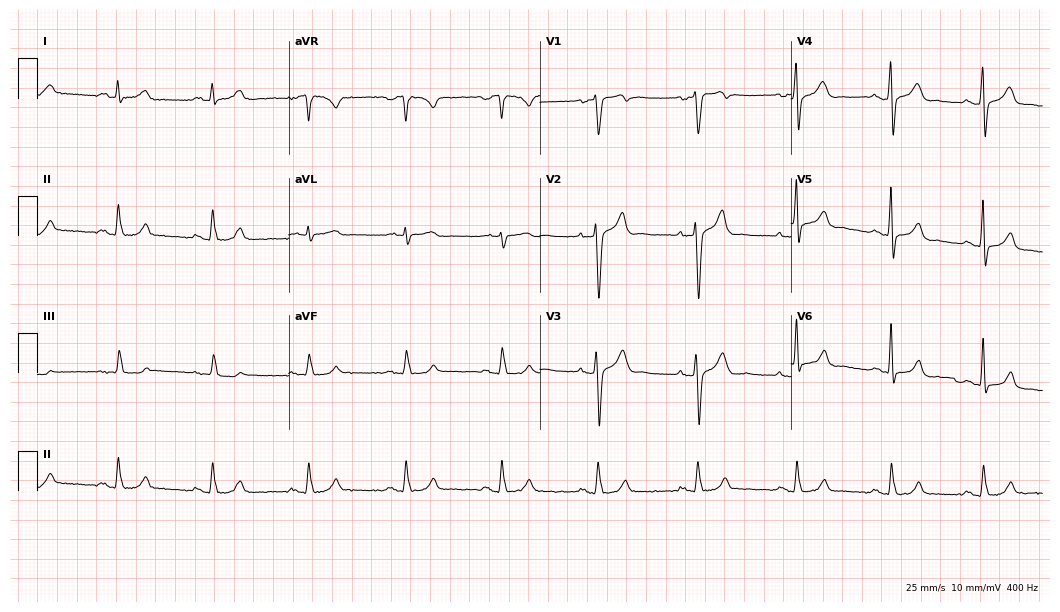
Resting 12-lead electrocardiogram (10.2-second recording at 400 Hz). Patient: a man, 55 years old. Read as a normal ECG.